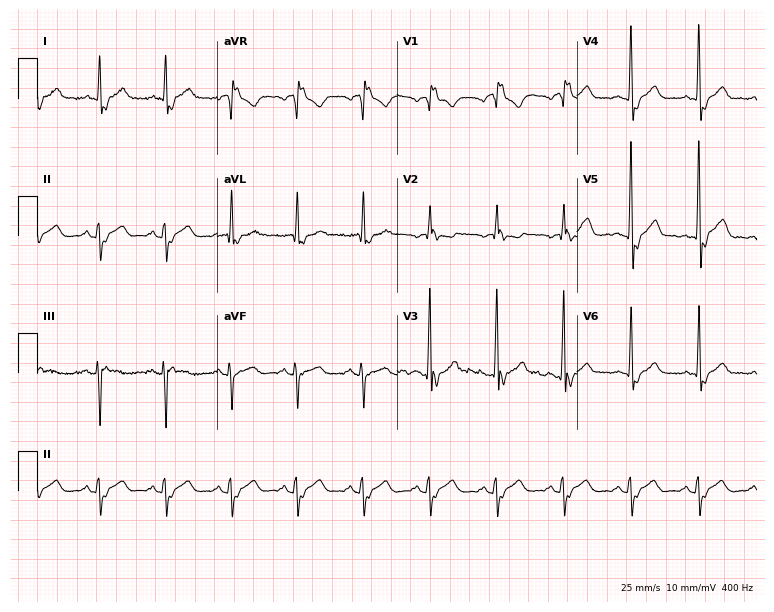
ECG (7.3-second recording at 400 Hz) — a male patient, 52 years old. Findings include right bundle branch block (RBBB).